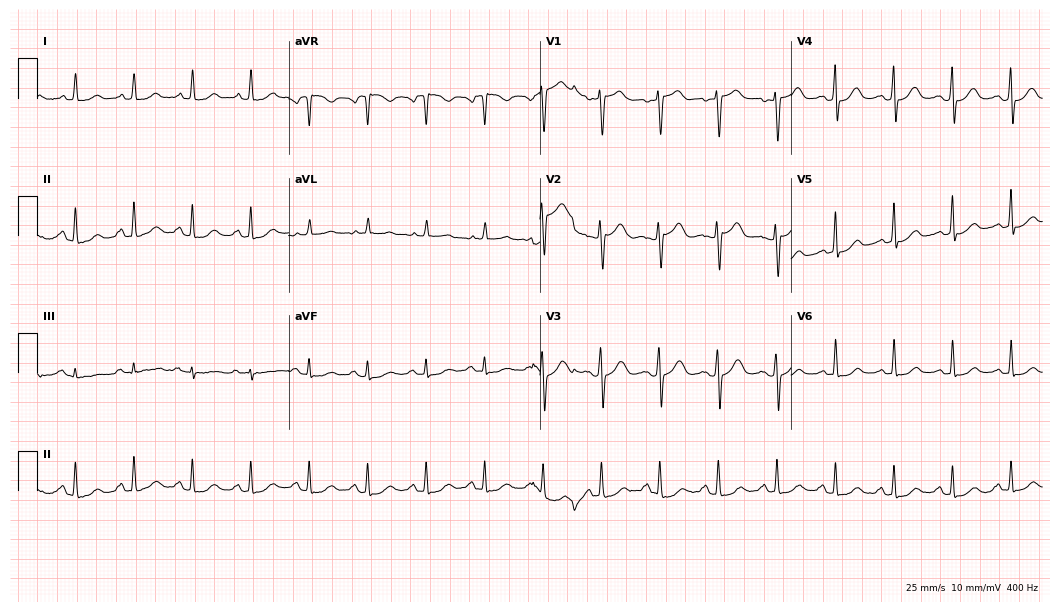
12-lead ECG from a 69-year-old female patient. No first-degree AV block, right bundle branch block, left bundle branch block, sinus bradycardia, atrial fibrillation or sinus tachycardia recorded for this tracing.